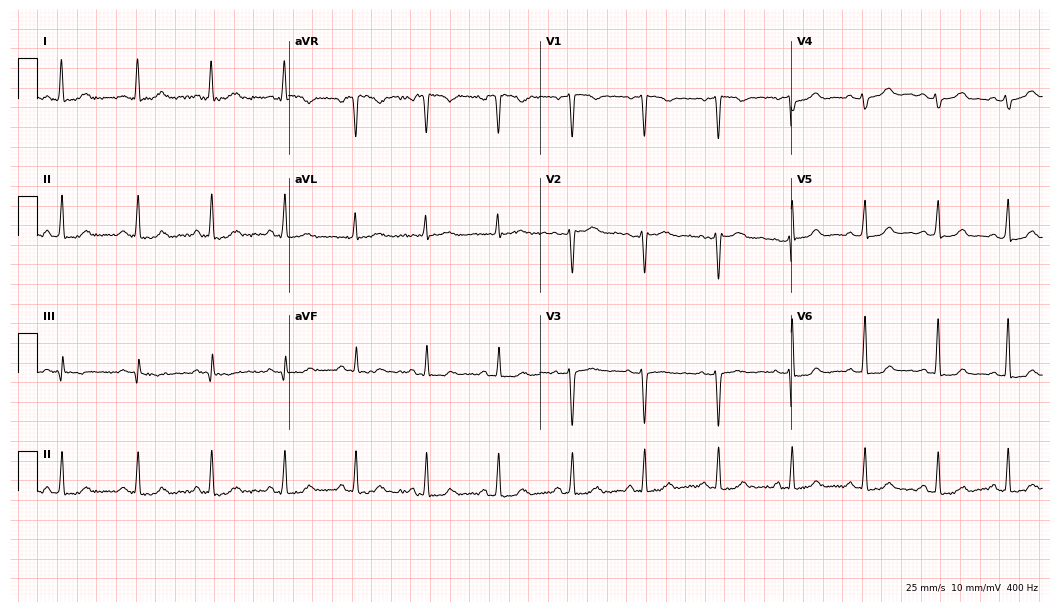
Resting 12-lead electrocardiogram. Patient: a woman, 47 years old. None of these six findings is recorded: first-degree AV block, right bundle branch block (RBBB), left bundle branch block (LBBB), sinus bradycardia, atrial fibrillation (AF), sinus tachycardia. Other findings, if any, are not listed.